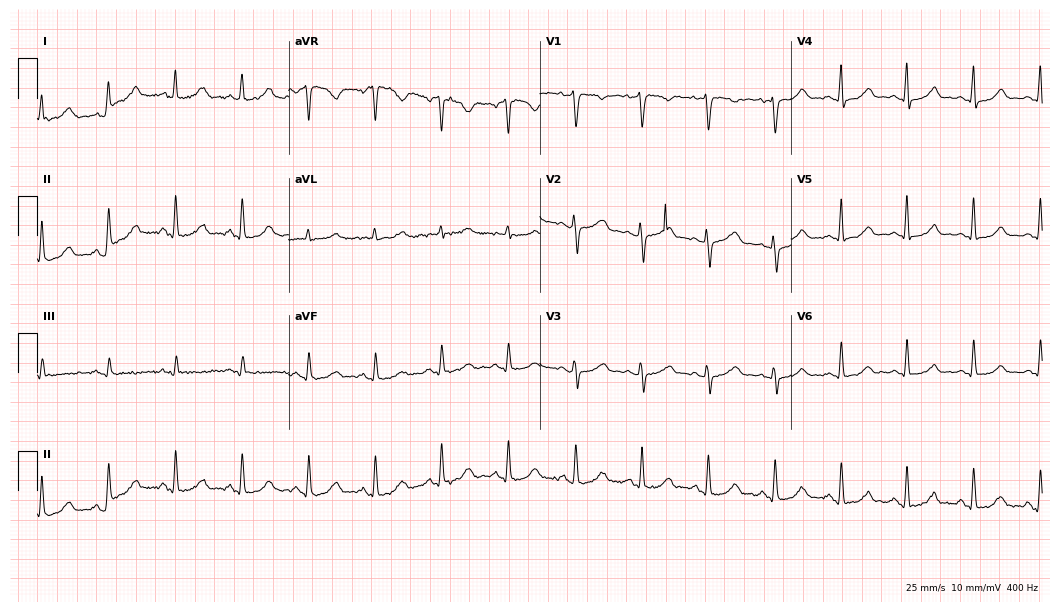
12-lead ECG (10.2-second recording at 400 Hz) from a 36-year-old female. Labelled as a normal ECG.